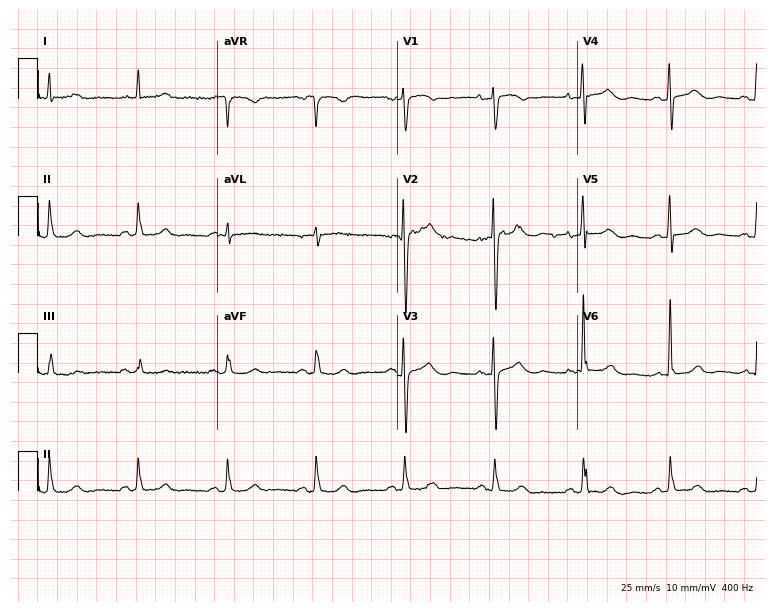
12-lead ECG (7.3-second recording at 400 Hz) from a woman, 71 years old. Labelled as a normal ECG.